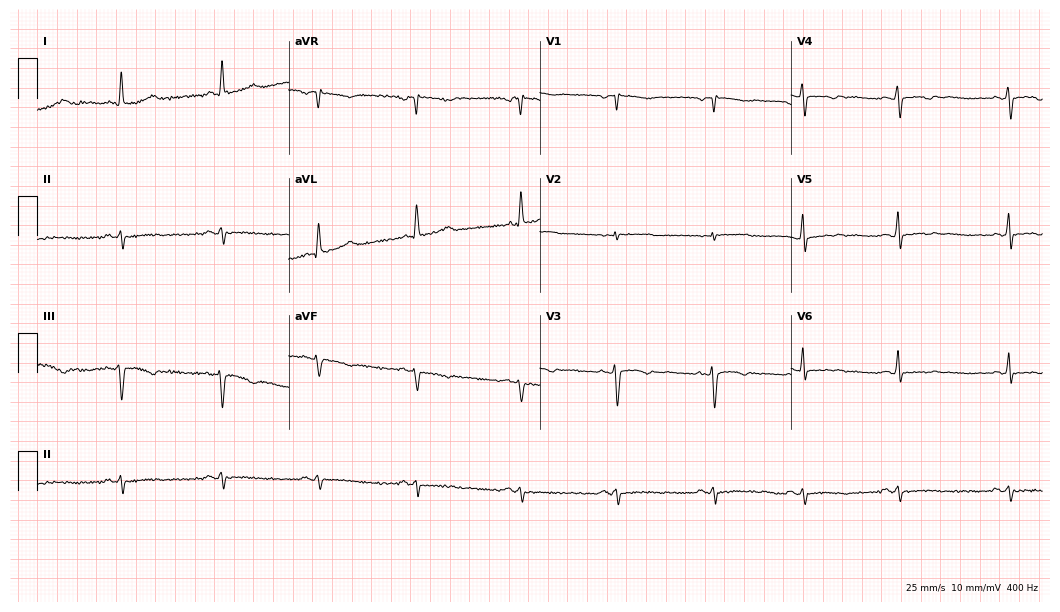
Standard 12-lead ECG recorded from a 48-year-old female patient (10.2-second recording at 400 Hz). None of these six findings is recorded: first-degree AV block, right bundle branch block, left bundle branch block, sinus bradycardia, atrial fibrillation, sinus tachycardia.